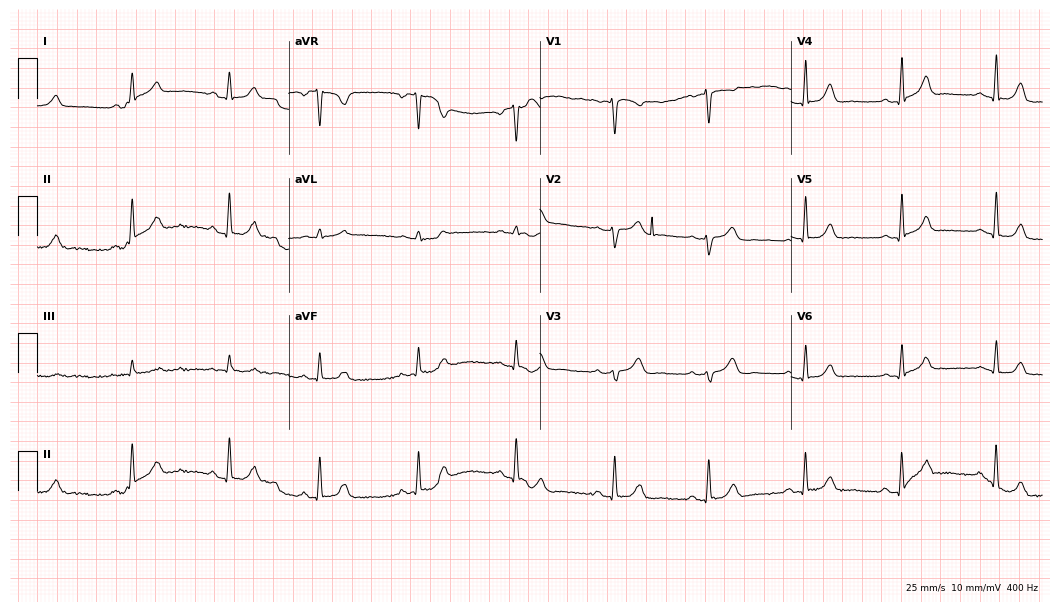
12-lead ECG from a female patient, 34 years old. Screened for six findings — first-degree AV block, right bundle branch block, left bundle branch block, sinus bradycardia, atrial fibrillation, sinus tachycardia — none is recorded. Findings outside these six are not listed.